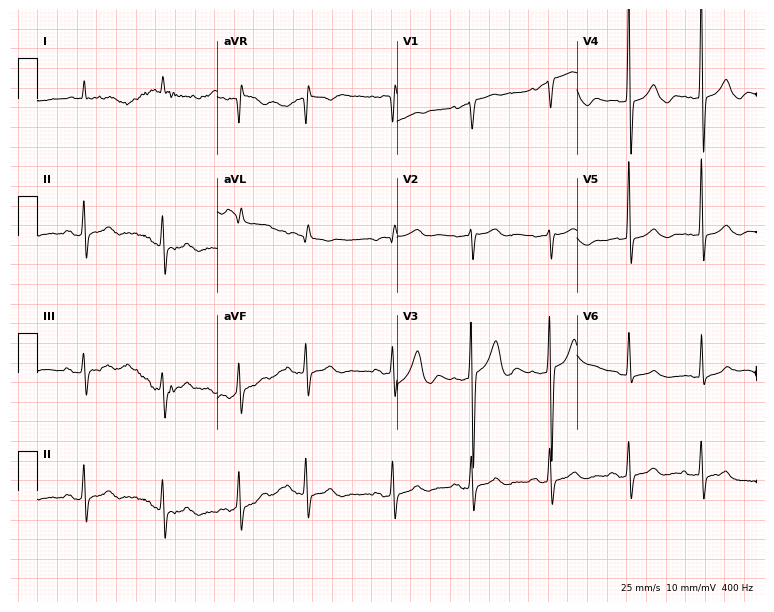
Standard 12-lead ECG recorded from an 84-year-old woman. None of these six findings is recorded: first-degree AV block, right bundle branch block, left bundle branch block, sinus bradycardia, atrial fibrillation, sinus tachycardia.